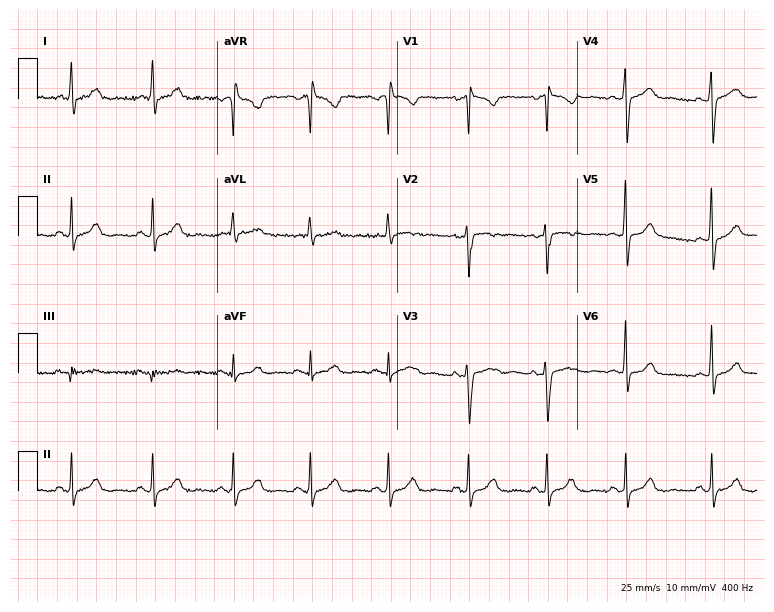
Resting 12-lead electrocardiogram (7.3-second recording at 400 Hz). Patient: a woman, 42 years old. None of these six findings is recorded: first-degree AV block, right bundle branch block, left bundle branch block, sinus bradycardia, atrial fibrillation, sinus tachycardia. Findings outside these six are not listed.